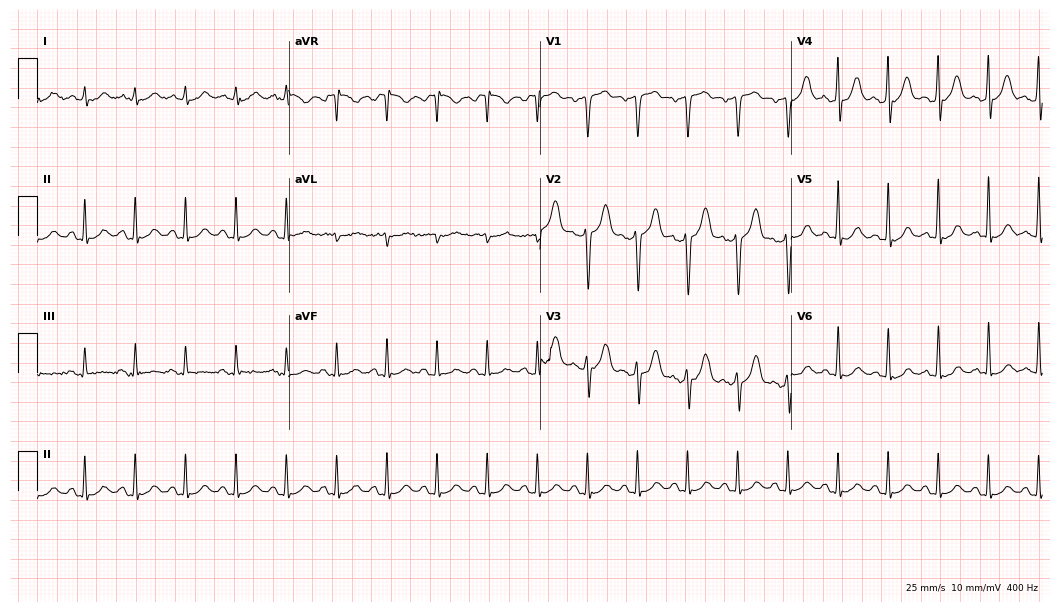
Electrocardiogram (10.2-second recording at 400 Hz), a male patient, 59 years old. Interpretation includes sinus tachycardia (a sinus rate of 100 beats per minute or more).